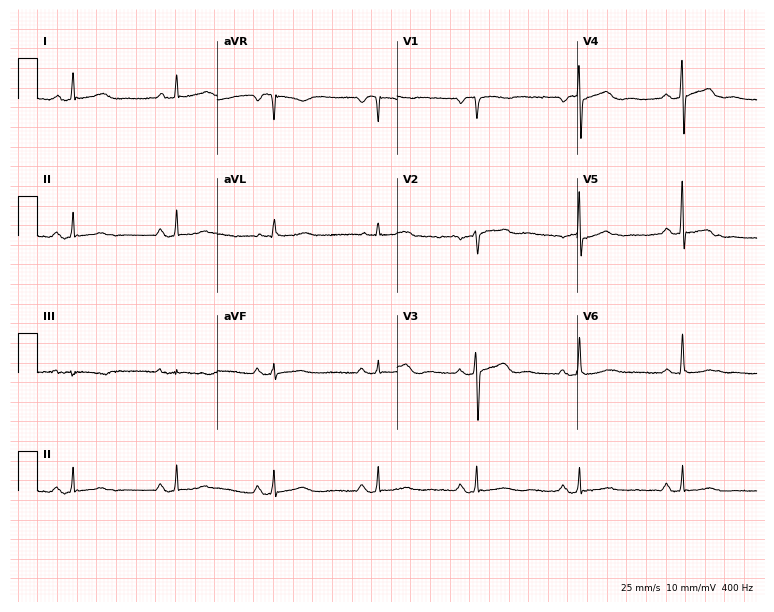
Standard 12-lead ECG recorded from a woman, 60 years old. None of these six findings is recorded: first-degree AV block, right bundle branch block, left bundle branch block, sinus bradycardia, atrial fibrillation, sinus tachycardia.